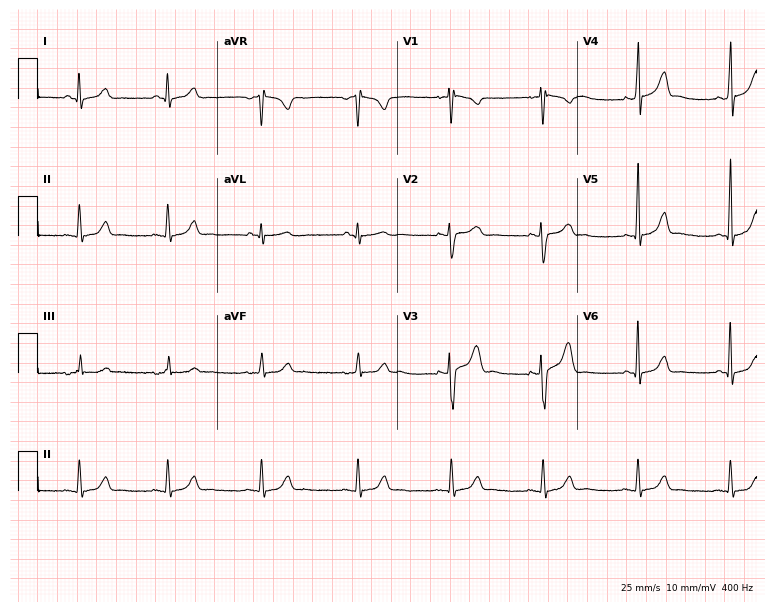
Resting 12-lead electrocardiogram (7.3-second recording at 400 Hz). Patient: a woman, 25 years old. None of these six findings is recorded: first-degree AV block, right bundle branch block, left bundle branch block, sinus bradycardia, atrial fibrillation, sinus tachycardia. Findings outside these six are not listed.